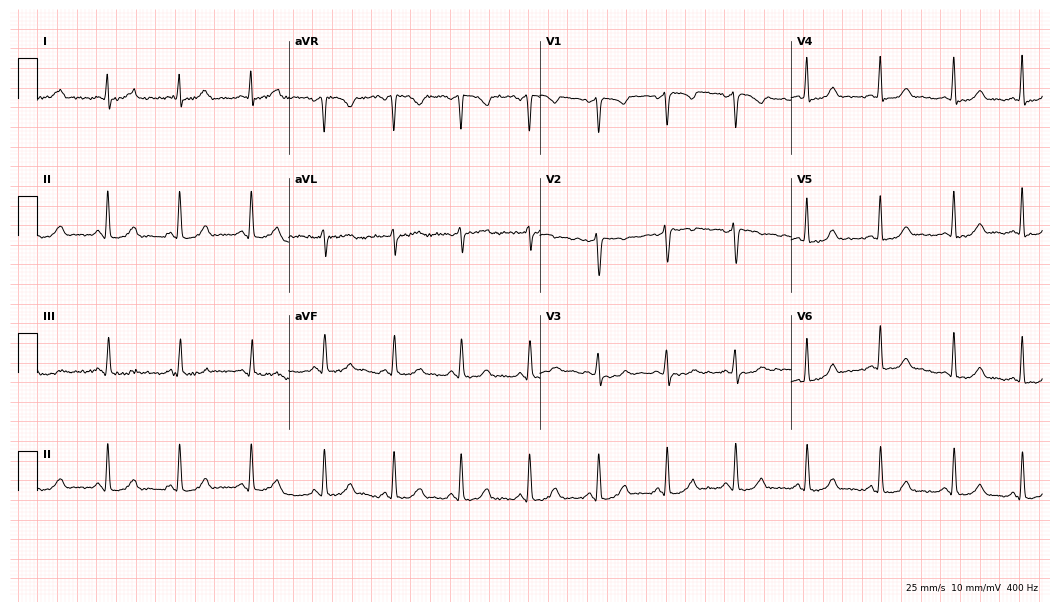
ECG — a 37-year-old woman. Labelled as a normal ECG.